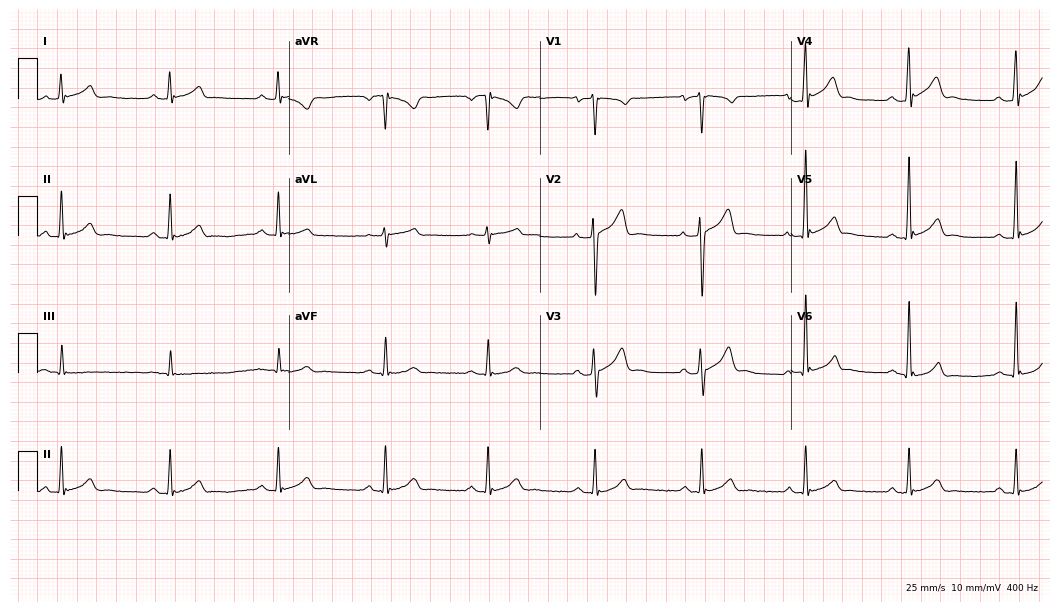
Resting 12-lead electrocardiogram. Patient: a 28-year-old male. Read as a normal ECG.